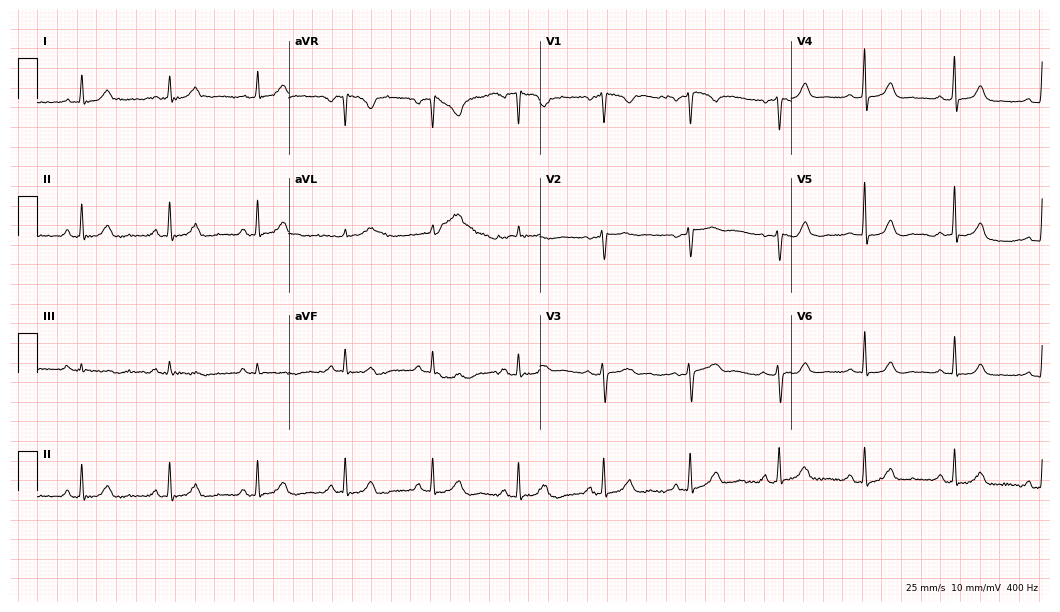
Resting 12-lead electrocardiogram (10.2-second recording at 400 Hz). Patient: a female, 48 years old. Read as a normal ECG.